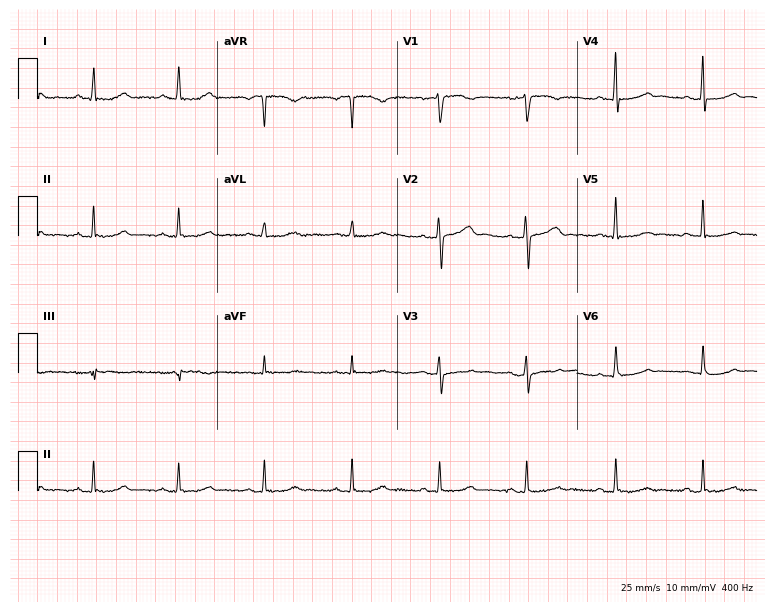
Electrocardiogram (7.3-second recording at 400 Hz), a female, 47 years old. Of the six screened findings (first-degree AV block, right bundle branch block, left bundle branch block, sinus bradycardia, atrial fibrillation, sinus tachycardia), none is recorded. Only these six findings were labelled.